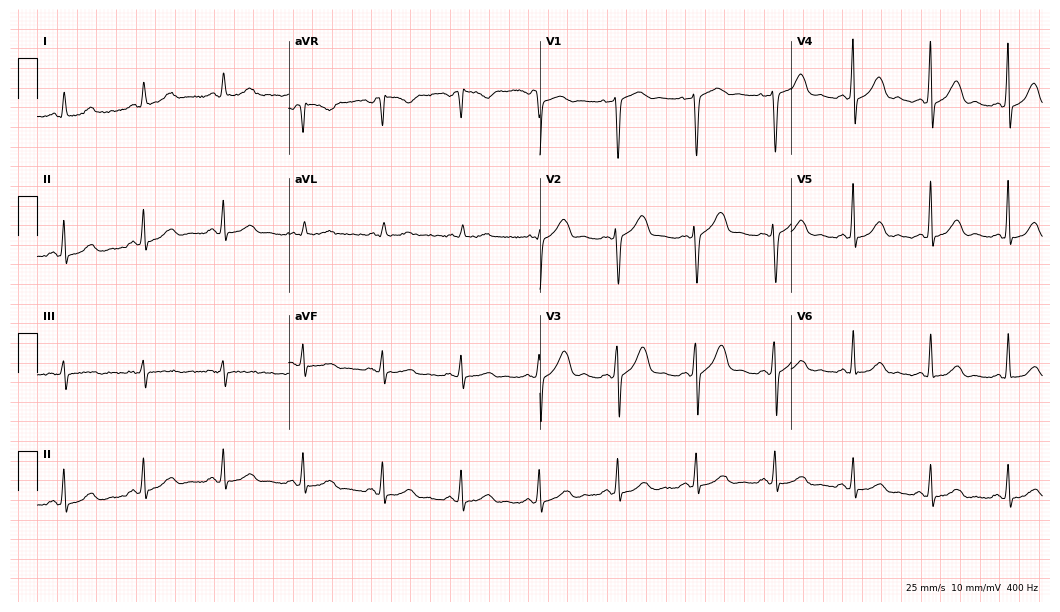
Standard 12-lead ECG recorded from a 57-year-old male (10.2-second recording at 400 Hz). None of these six findings is recorded: first-degree AV block, right bundle branch block, left bundle branch block, sinus bradycardia, atrial fibrillation, sinus tachycardia. Findings outside these six are not listed.